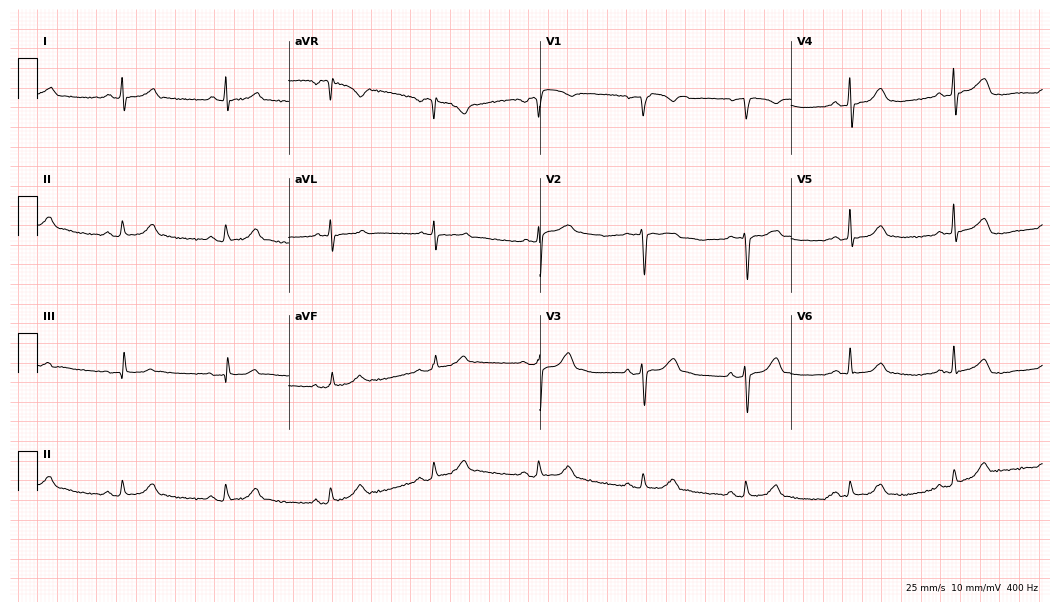
12-lead ECG from a male, 60 years old. No first-degree AV block, right bundle branch block, left bundle branch block, sinus bradycardia, atrial fibrillation or sinus tachycardia recorded for this tracing. Other findings, if any, are not listed.